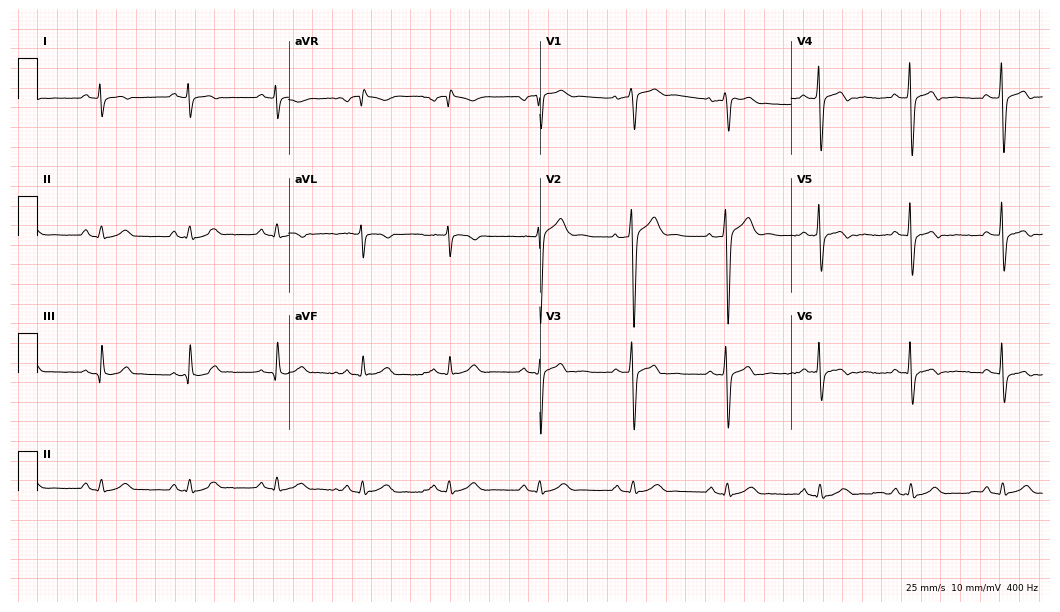
ECG (10.2-second recording at 400 Hz) — a male, 50 years old. Screened for six findings — first-degree AV block, right bundle branch block, left bundle branch block, sinus bradycardia, atrial fibrillation, sinus tachycardia — none is recorded.